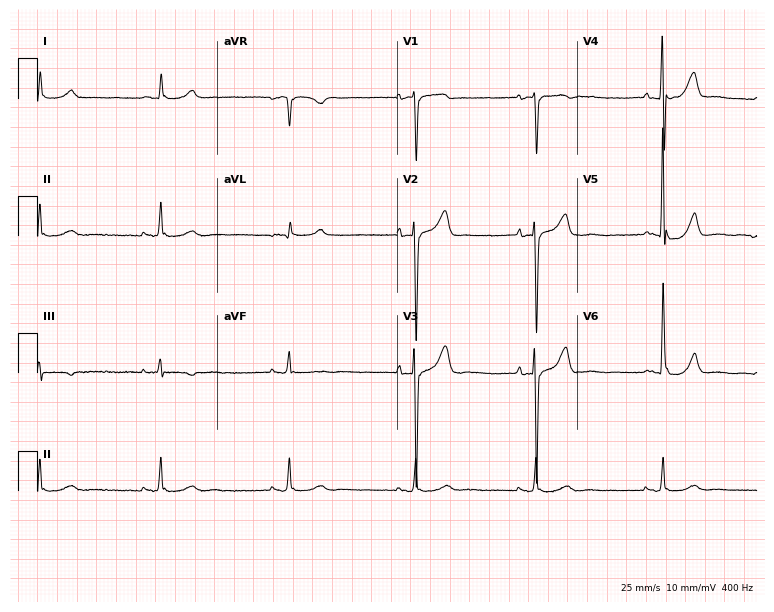
Resting 12-lead electrocardiogram. Patient: an 85-year-old man. The tracing shows sinus bradycardia (a sinus rate of 50 beats per minute or less).